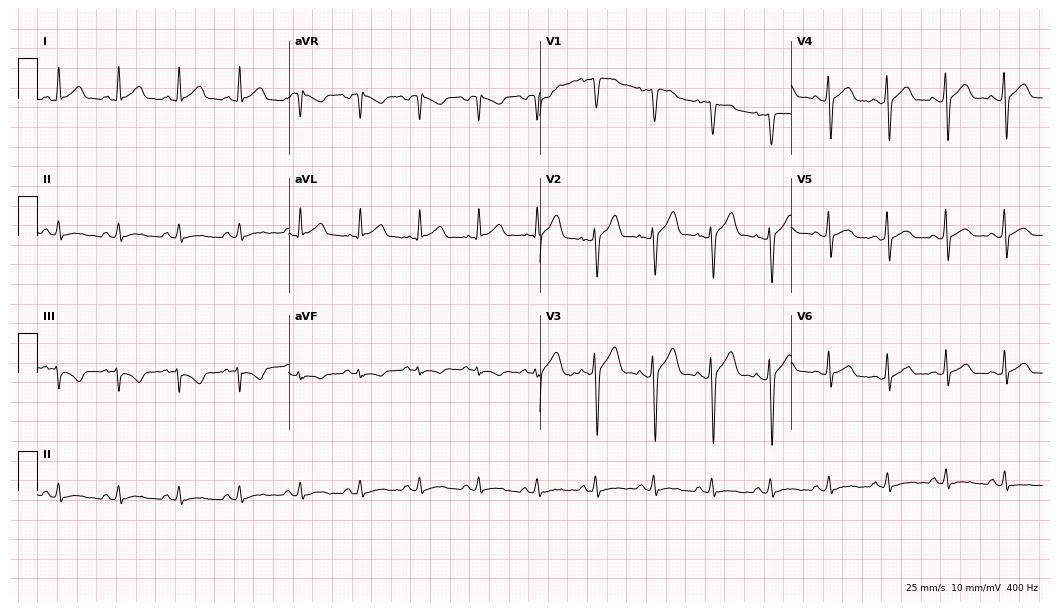
Resting 12-lead electrocardiogram. Patient: a man, 39 years old. Read as a normal ECG.